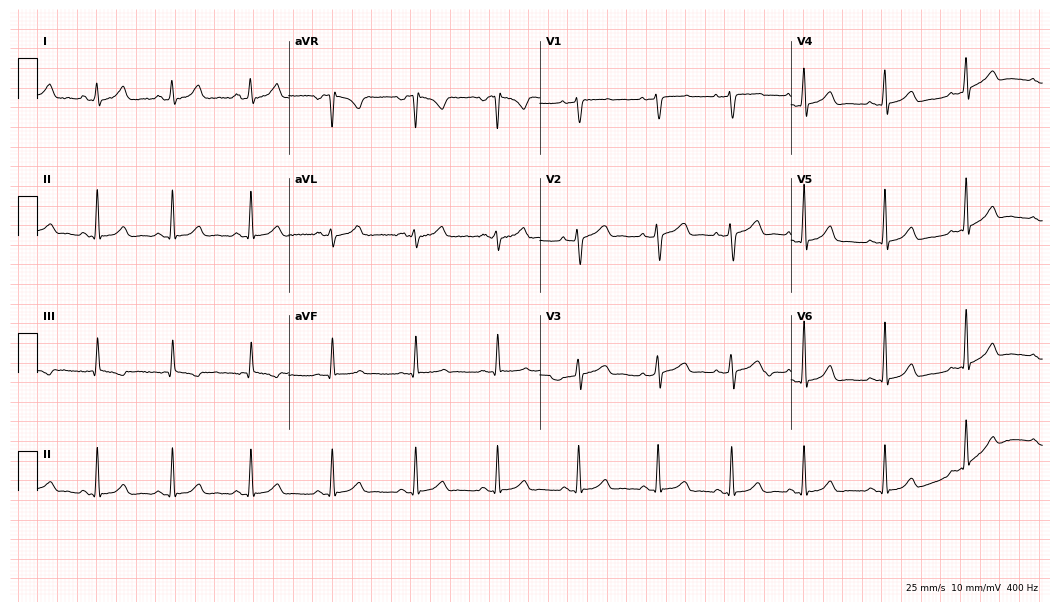
Standard 12-lead ECG recorded from a 31-year-old woman (10.2-second recording at 400 Hz). Read as a normal ECG.